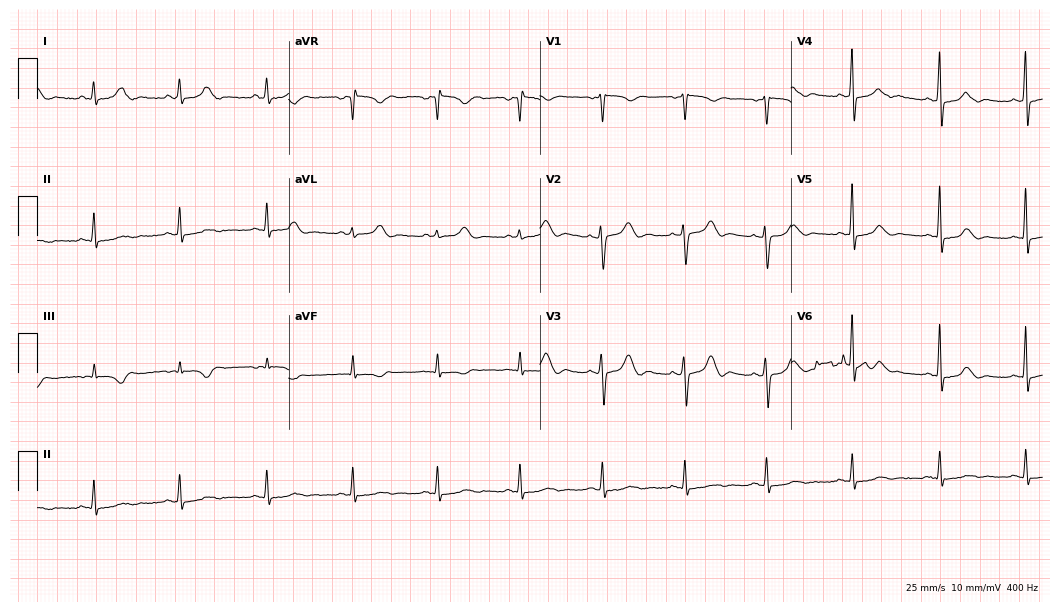
12-lead ECG from a female patient, 33 years old. No first-degree AV block, right bundle branch block (RBBB), left bundle branch block (LBBB), sinus bradycardia, atrial fibrillation (AF) or sinus tachycardia recorded for this tracing.